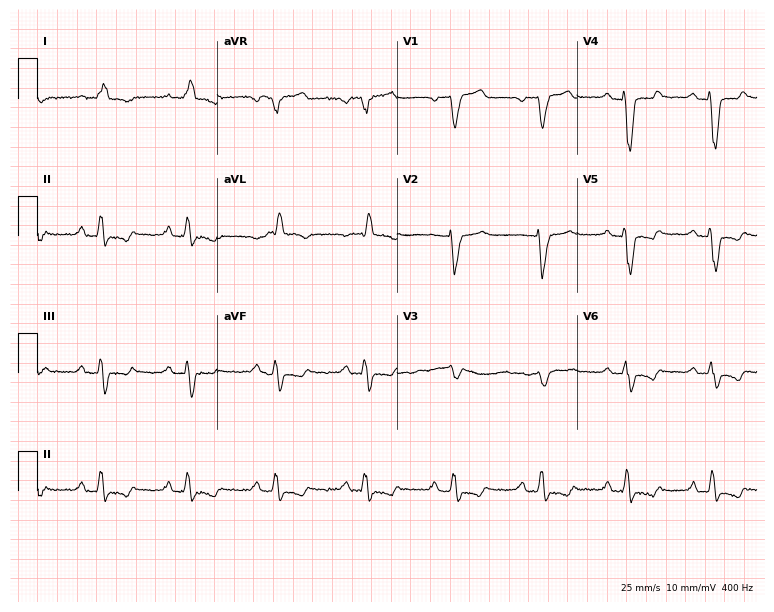
12-lead ECG (7.3-second recording at 400 Hz) from a female patient, 71 years old. Findings include left bundle branch block.